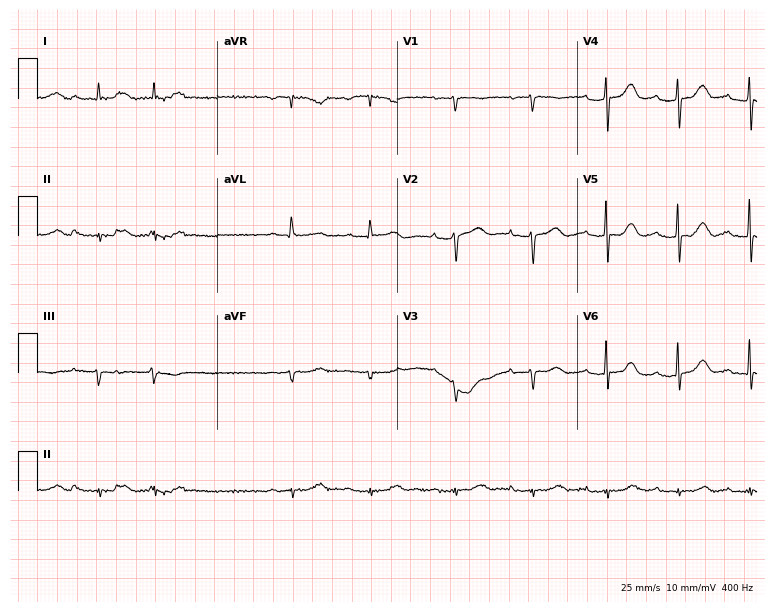
12-lead ECG from a 66-year-old male. Screened for six findings — first-degree AV block, right bundle branch block, left bundle branch block, sinus bradycardia, atrial fibrillation, sinus tachycardia — none is recorded. Findings outside these six are not listed.